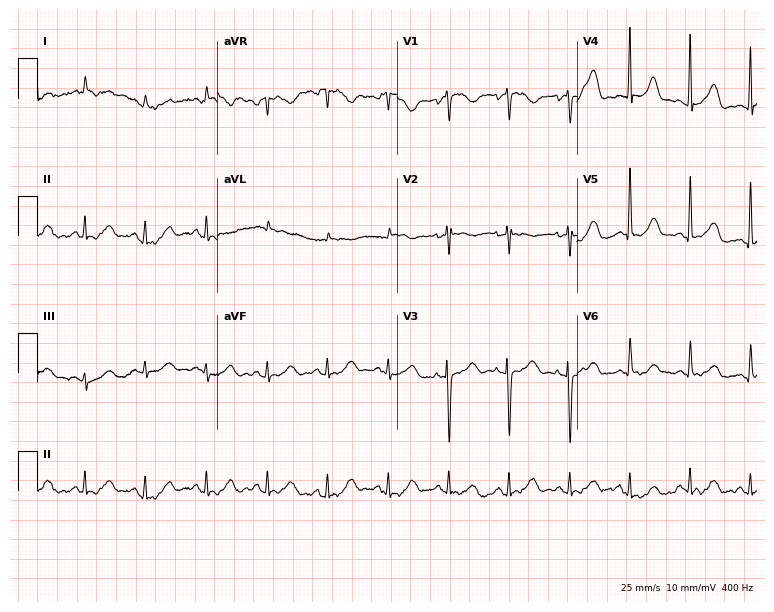
ECG — an 82-year-old female. Screened for six findings — first-degree AV block, right bundle branch block (RBBB), left bundle branch block (LBBB), sinus bradycardia, atrial fibrillation (AF), sinus tachycardia — none is recorded. Findings outside these six are not listed.